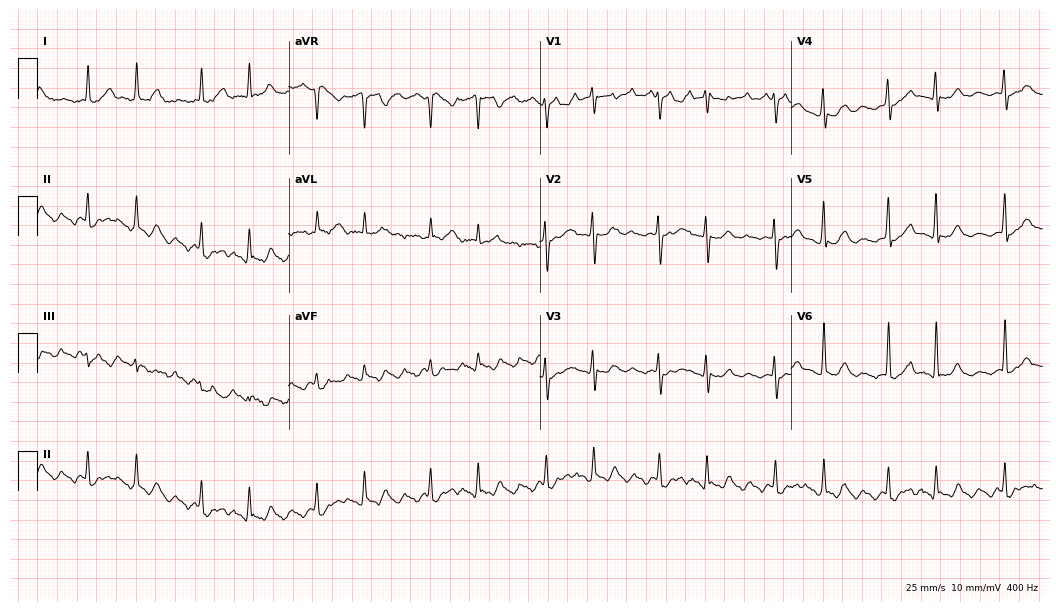
12-lead ECG from a male patient, 66 years old (10.2-second recording at 400 Hz). No first-degree AV block, right bundle branch block (RBBB), left bundle branch block (LBBB), sinus bradycardia, atrial fibrillation (AF) or sinus tachycardia recorded for this tracing.